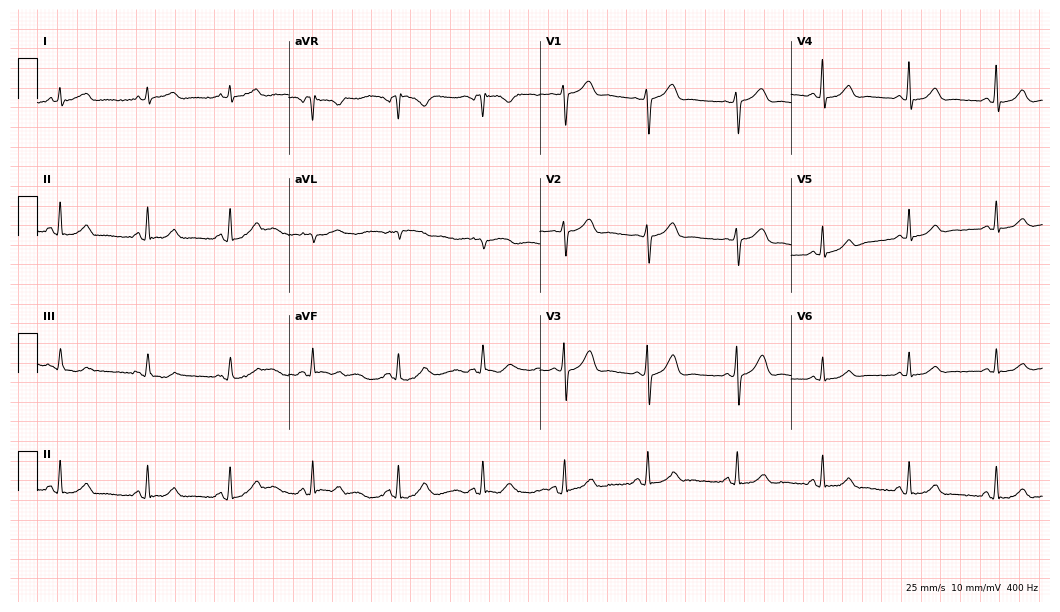
Electrocardiogram (10.2-second recording at 400 Hz), a 50-year-old woman. Of the six screened findings (first-degree AV block, right bundle branch block, left bundle branch block, sinus bradycardia, atrial fibrillation, sinus tachycardia), none is recorded. Other findings, if any, are not listed.